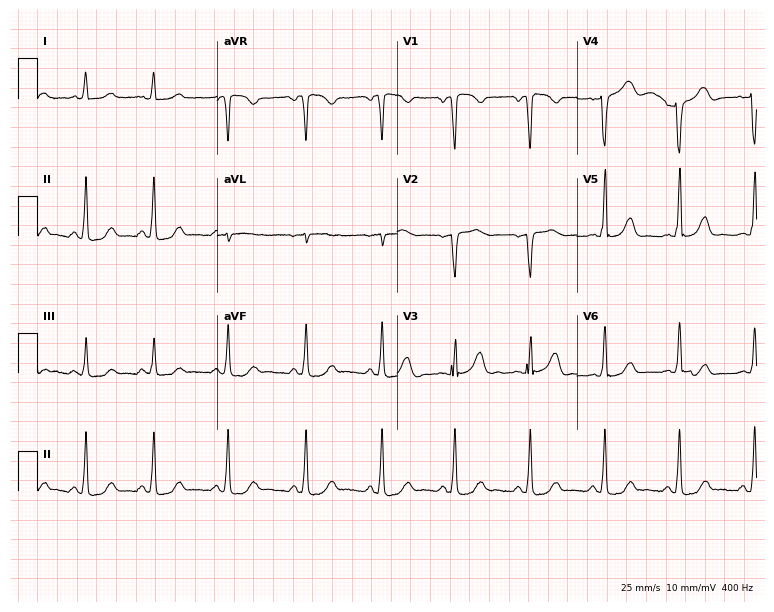
Resting 12-lead electrocardiogram. Patient: a 30-year-old female. None of these six findings is recorded: first-degree AV block, right bundle branch block (RBBB), left bundle branch block (LBBB), sinus bradycardia, atrial fibrillation (AF), sinus tachycardia. Other findings, if any, are not listed.